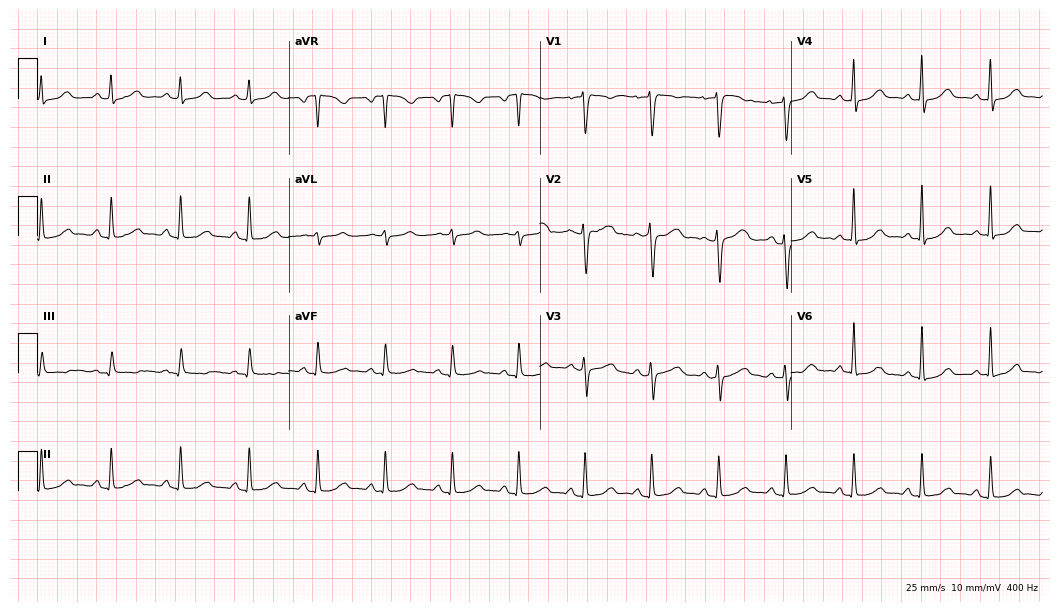
12-lead ECG (10.2-second recording at 400 Hz) from a female, 51 years old. Labelled as a normal ECG.